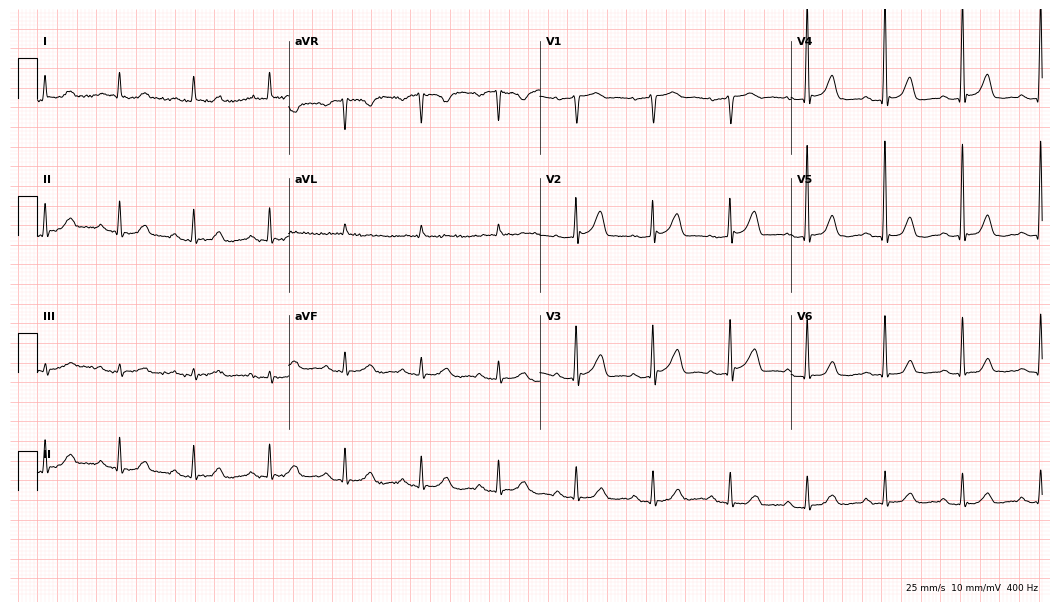
12-lead ECG from a 79-year-old female. Labelled as a normal ECG.